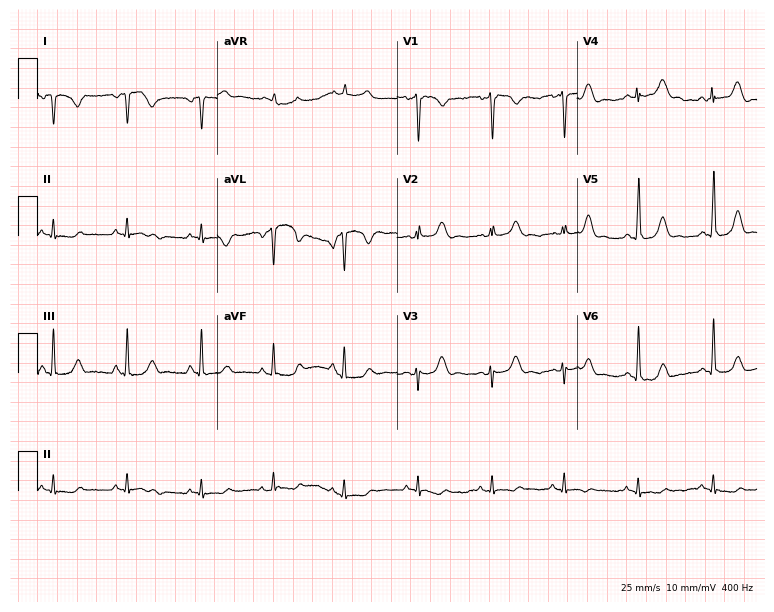
Resting 12-lead electrocardiogram (7.3-second recording at 400 Hz). Patient: a 41-year-old woman. None of these six findings is recorded: first-degree AV block, right bundle branch block (RBBB), left bundle branch block (LBBB), sinus bradycardia, atrial fibrillation (AF), sinus tachycardia. Only these six findings were labelled.